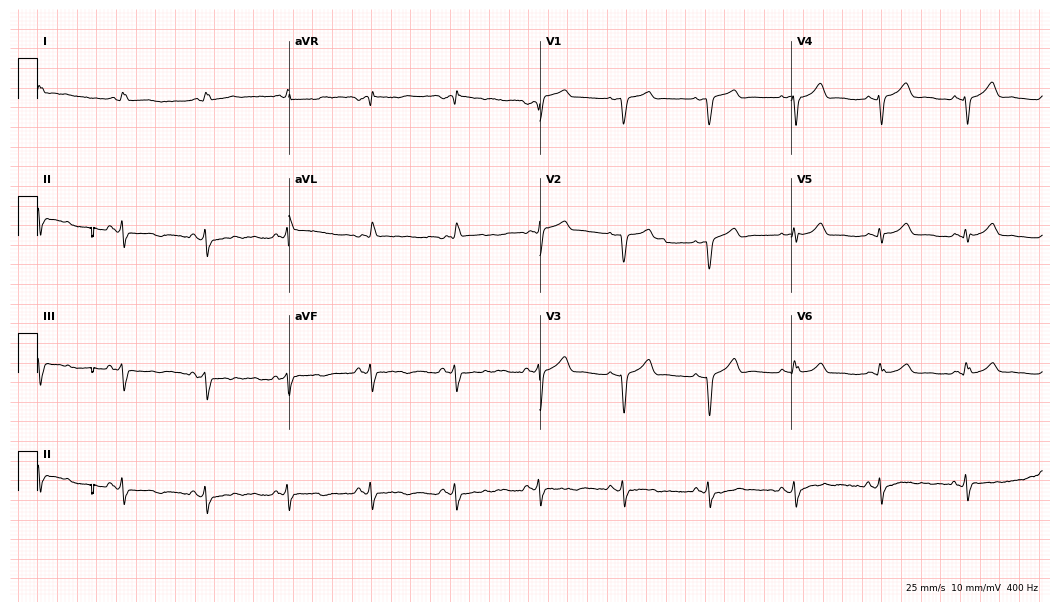
Electrocardiogram, a 66-year-old male patient. Of the six screened findings (first-degree AV block, right bundle branch block, left bundle branch block, sinus bradycardia, atrial fibrillation, sinus tachycardia), none is recorded. Other findings, if any, are not listed.